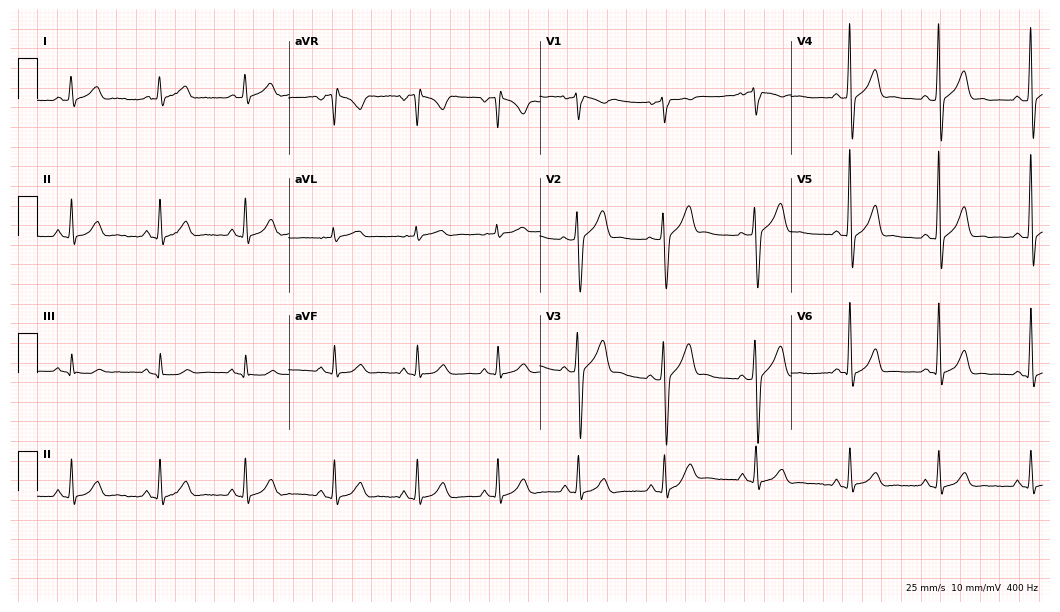
Resting 12-lead electrocardiogram (10.2-second recording at 400 Hz). Patient: a male, 32 years old. Read as a normal ECG.